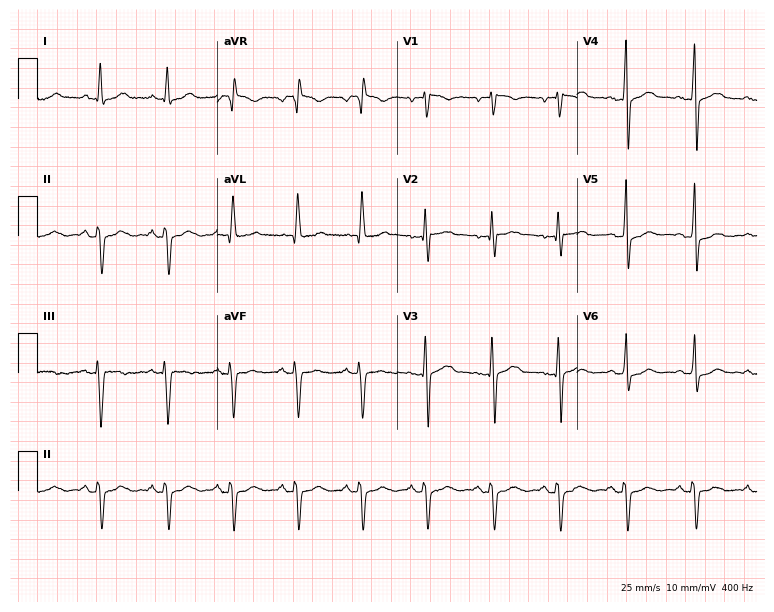
Resting 12-lead electrocardiogram (7.3-second recording at 400 Hz). Patient: a 41-year-old man. None of these six findings is recorded: first-degree AV block, right bundle branch block (RBBB), left bundle branch block (LBBB), sinus bradycardia, atrial fibrillation (AF), sinus tachycardia.